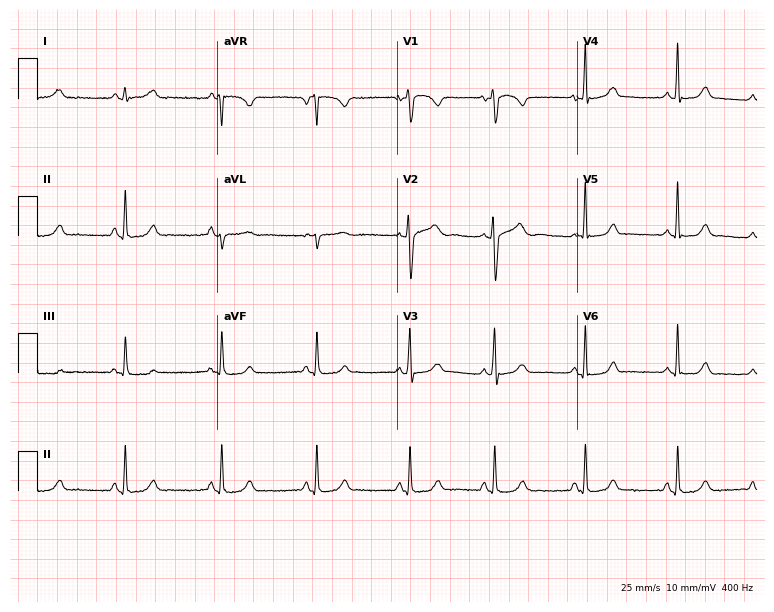
ECG (7.3-second recording at 400 Hz) — a 26-year-old female. Screened for six findings — first-degree AV block, right bundle branch block, left bundle branch block, sinus bradycardia, atrial fibrillation, sinus tachycardia — none is recorded.